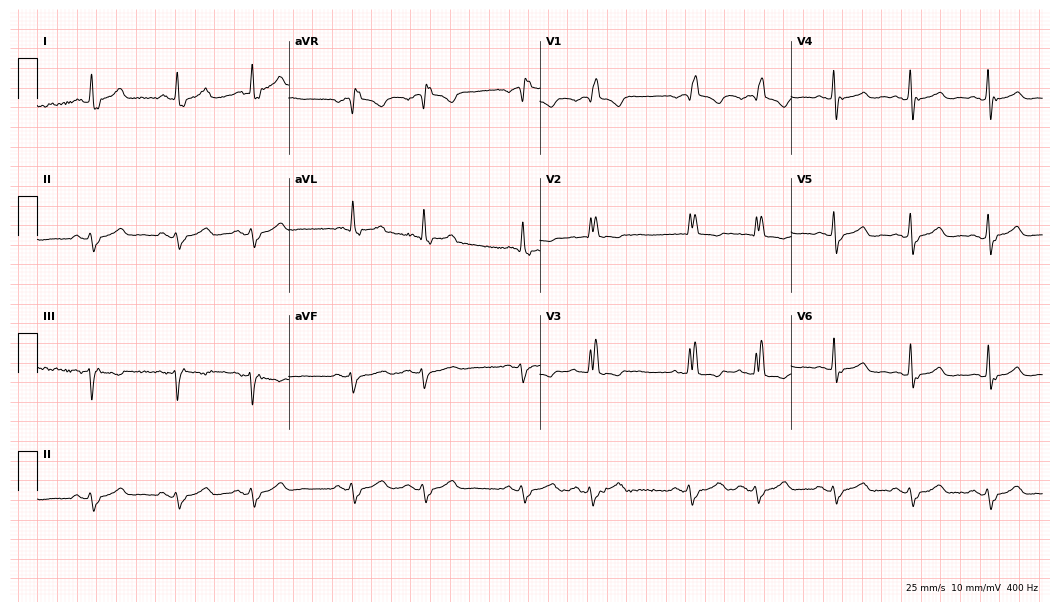
Standard 12-lead ECG recorded from an 83-year-old woman. The tracing shows right bundle branch block (RBBB).